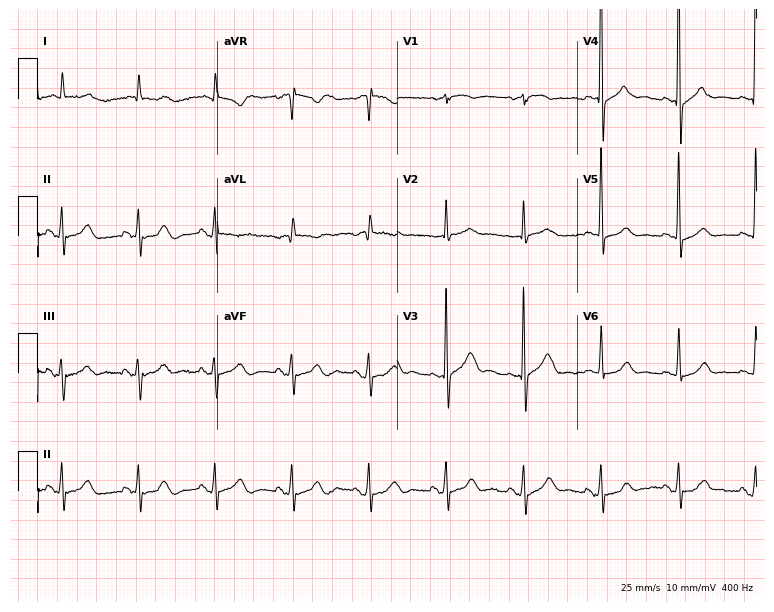
12-lead ECG from a 78-year-old woman. Recorded interpretation: within normal limits.